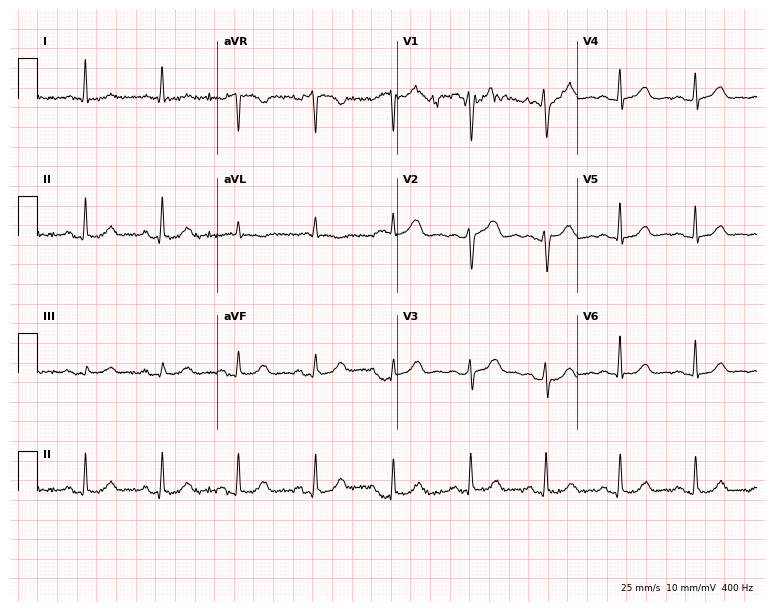
12-lead ECG from a 66-year-old female. Labelled as a normal ECG.